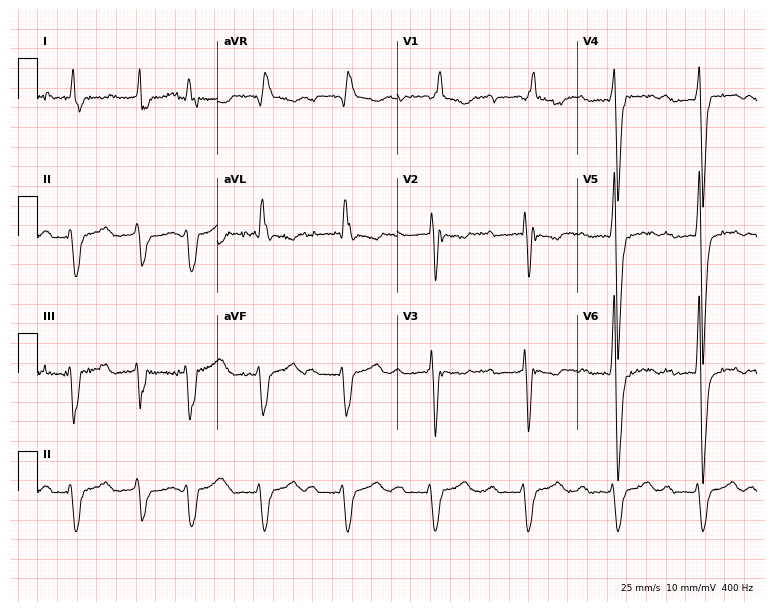
12-lead ECG from a 72-year-old man. Shows first-degree AV block, right bundle branch block.